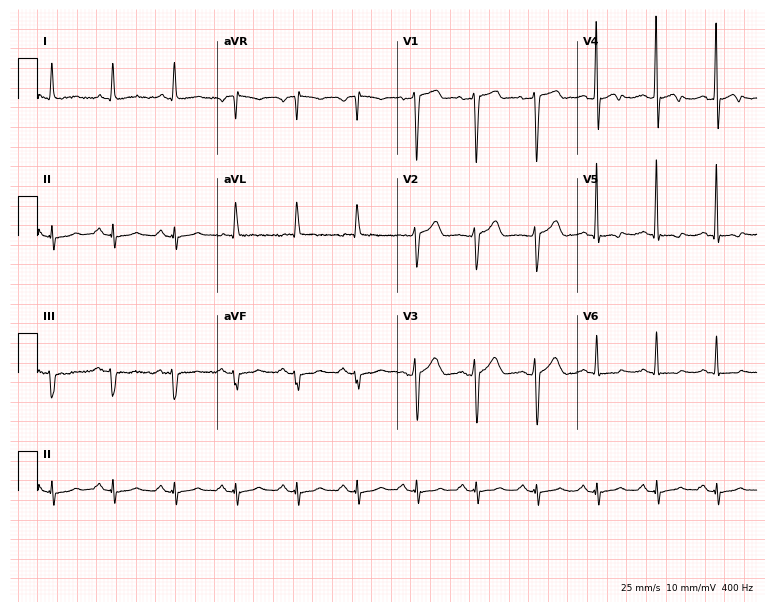
Electrocardiogram (7.3-second recording at 400 Hz), a 56-year-old male. Of the six screened findings (first-degree AV block, right bundle branch block (RBBB), left bundle branch block (LBBB), sinus bradycardia, atrial fibrillation (AF), sinus tachycardia), none is recorded.